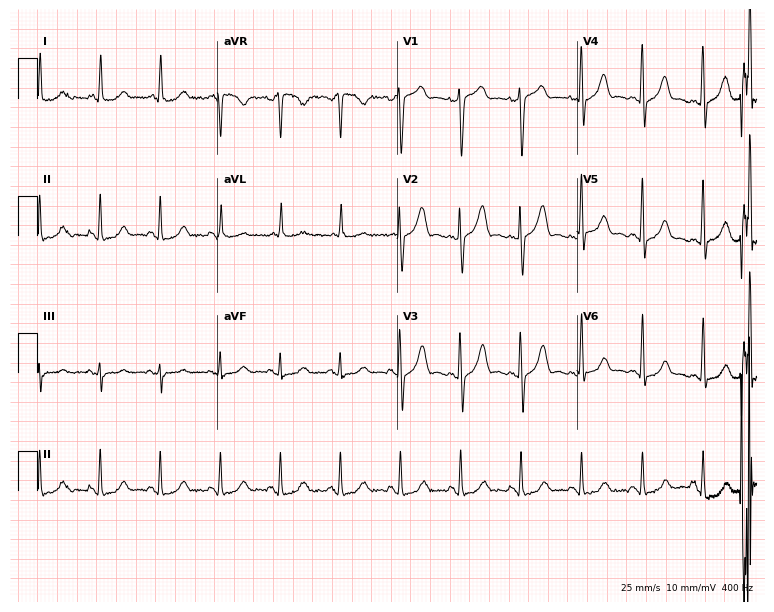
Resting 12-lead electrocardiogram (7.3-second recording at 400 Hz). Patient: a female, 59 years old. None of these six findings is recorded: first-degree AV block, right bundle branch block (RBBB), left bundle branch block (LBBB), sinus bradycardia, atrial fibrillation (AF), sinus tachycardia.